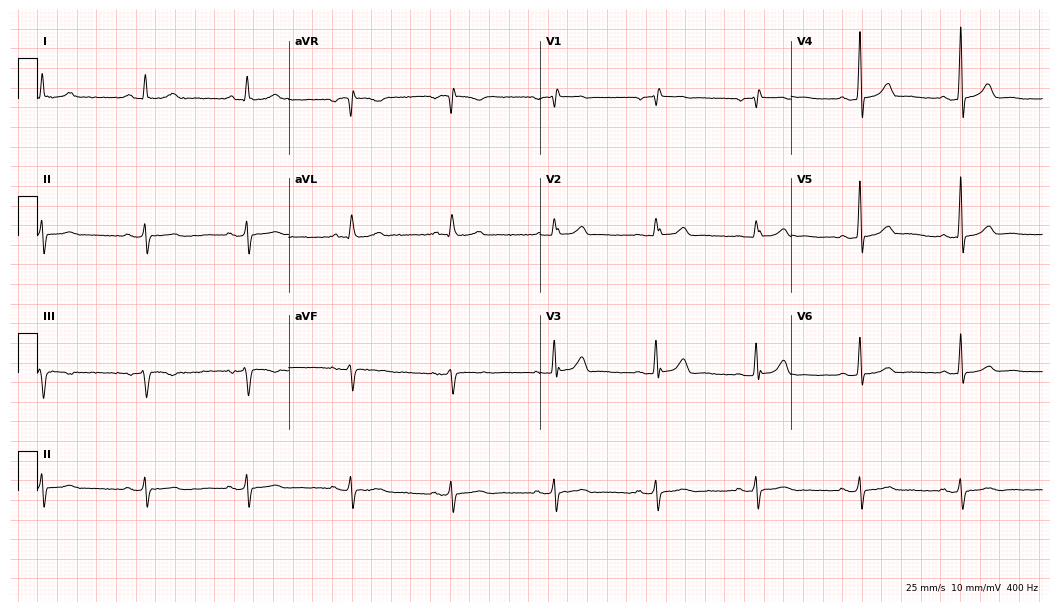
12-lead ECG from a 61-year-old male (10.2-second recording at 400 Hz). No first-degree AV block, right bundle branch block (RBBB), left bundle branch block (LBBB), sinus bradycardia, atrial fibrillation (AF) or sinus tachycardia recorded for this tracing.